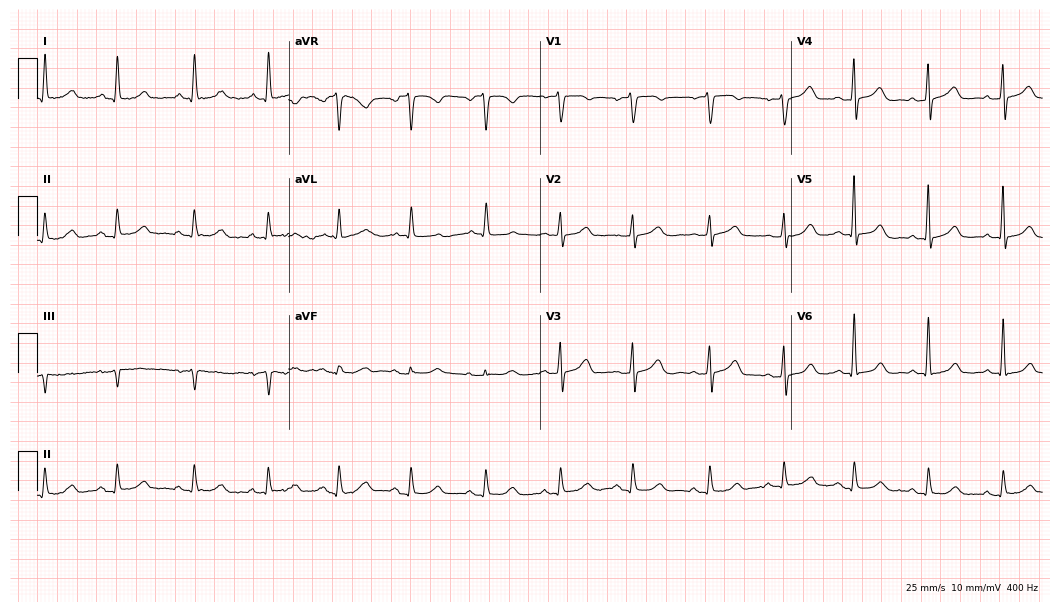
Electrocardiogram (10.2-second recording at 400 Hz), a female patient, 77 years old. Overall reading on record: normal ECG.